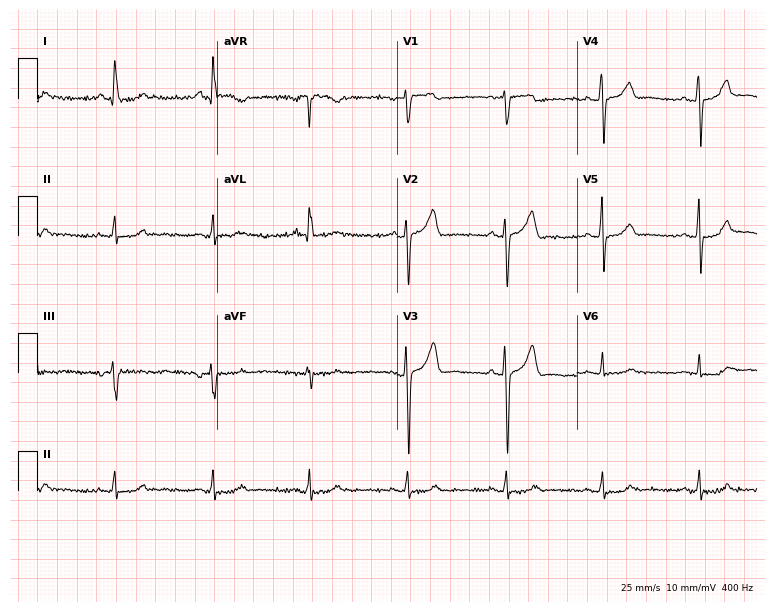
Resting 12-lead electrocardiogram. Patient: a 49-year-old male. None of these six findings is recorded: first-degree AV block, right bundle branch block (RBBB), left bundle branch block (LBBB), sinus bradycardia, atrial fibrillation (AF), sinus tachycardia. Other findings, if any, are not listed.